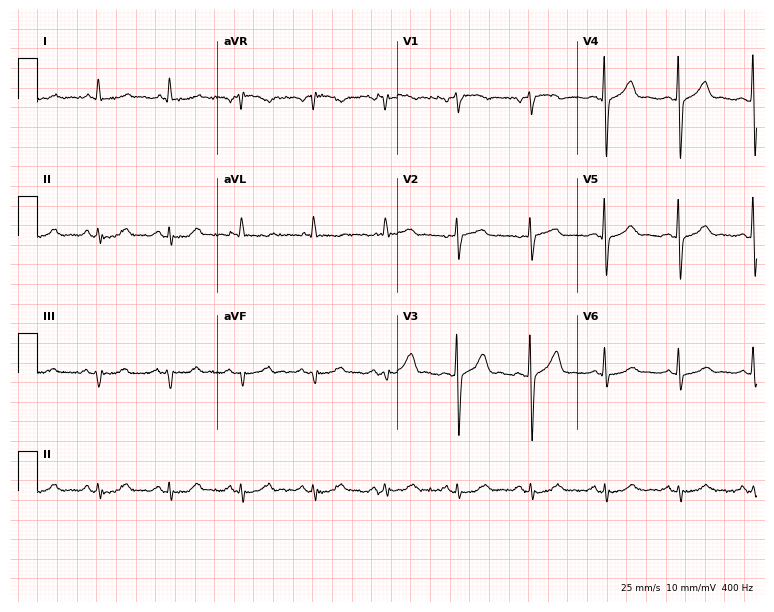
Resting 12-lead electrocardiogram. Patient: a man, 74 years old. None of these six findings is recorded: first-degree AV block, right bundle branch block, left bundle branch block, sinus bradycardia, atrial fibrillation, sinus tachycardia. Only these six findings were labelled.